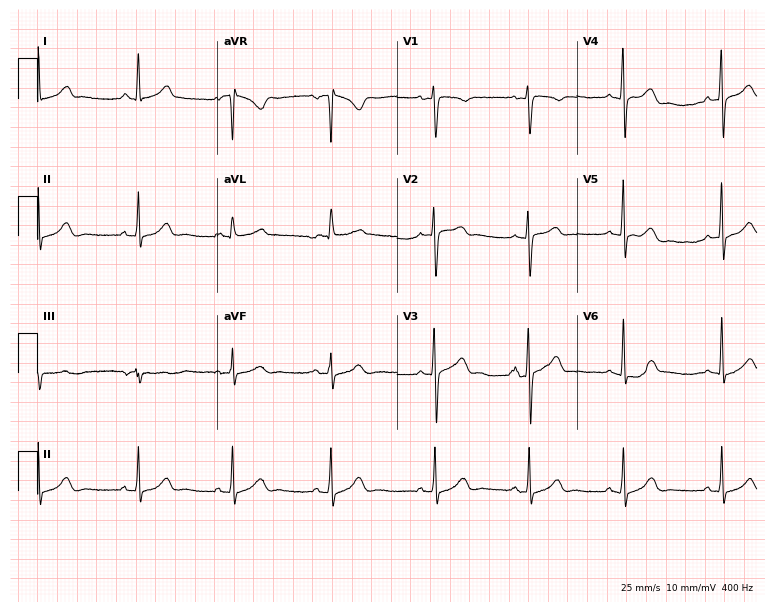
12-lead ECG from a 27-year-old woman (7.3-second recording at 400 Hz). Recorded interpretation: within normal limits.